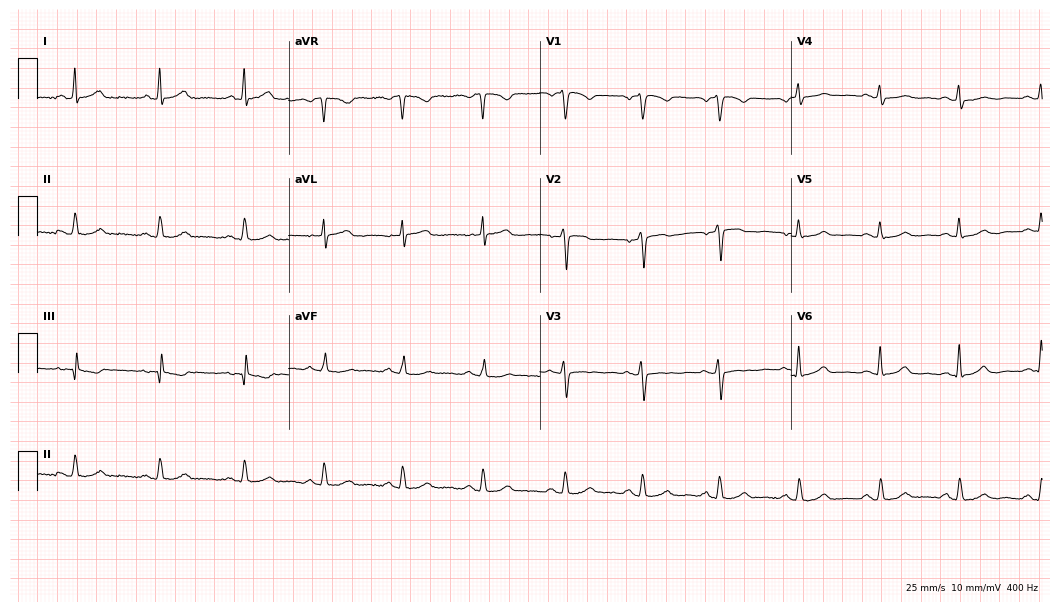
12-lead ECG from a 47-year-old female (10.2-second recording at 400 Hz). Recorded interpretation: within normal limits.